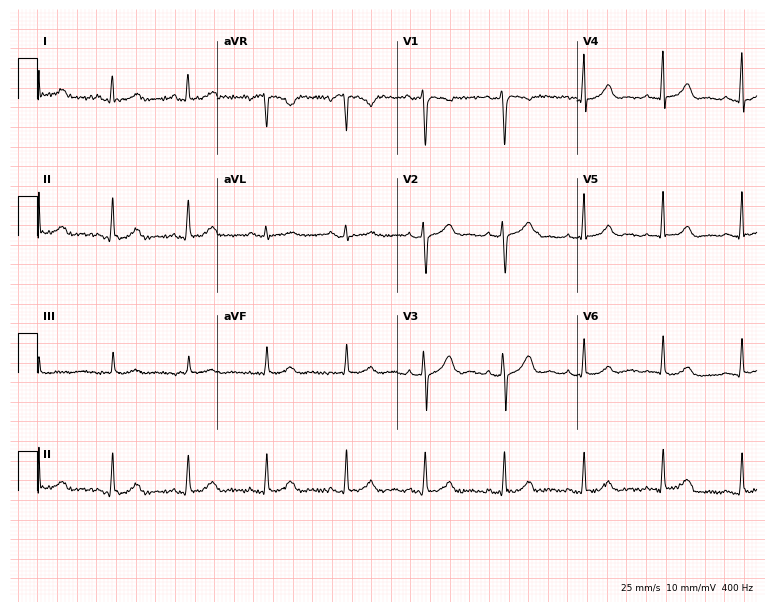
Electrocardiogram (7.3-second recording at 400 Hz), a woman, 32 years old. Of the six screened findings (first-degree AV block, right bundle branch block, left bundle branch block, sinus bradycardia, atrial fibrillation, sinus tachycardia), none is recorded.